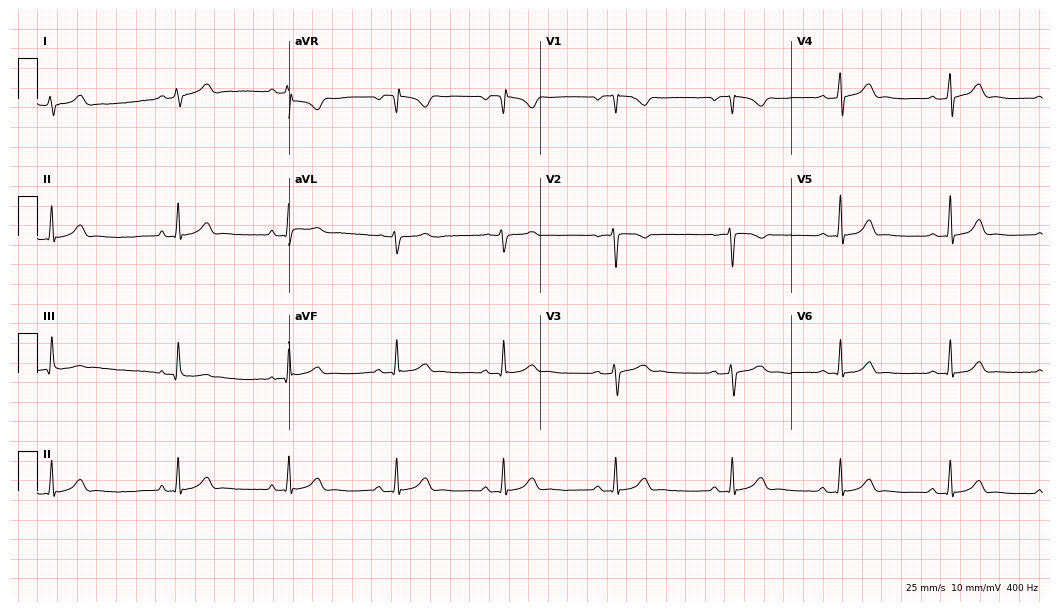
ECG — a male patient, 25 years old. Labelled as a normal ECG.